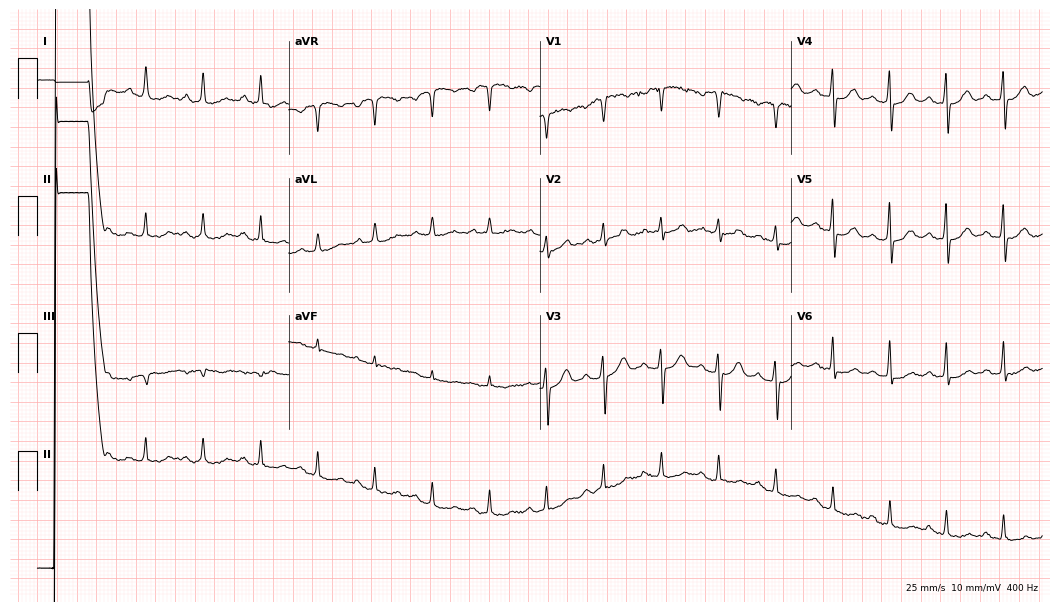
12-lead ECG from a man, 65 years old. Screened for six findings — first-degree AV block, right bundle branch block, left bundle branch block, sinus bradycardia, atrial fibrillation, sinus tachycardia — none is recorded.